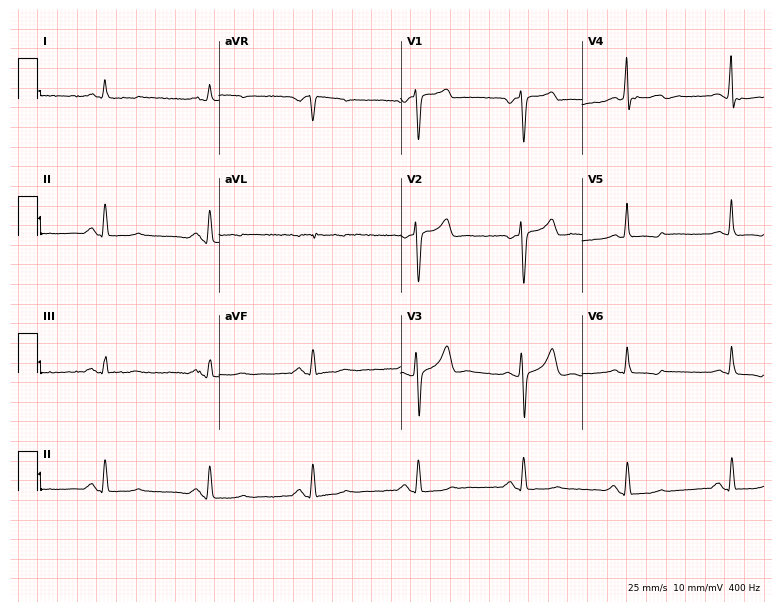
Electrocardiogram, a 24-year-old man. Of the six screened findings (first-degree AV block, right bundle branch block, left bundle branch block, sinus bradycardia, atrial fibrillation, sinus tachycardia), none is recorded. Other findings, if any, are not listed.